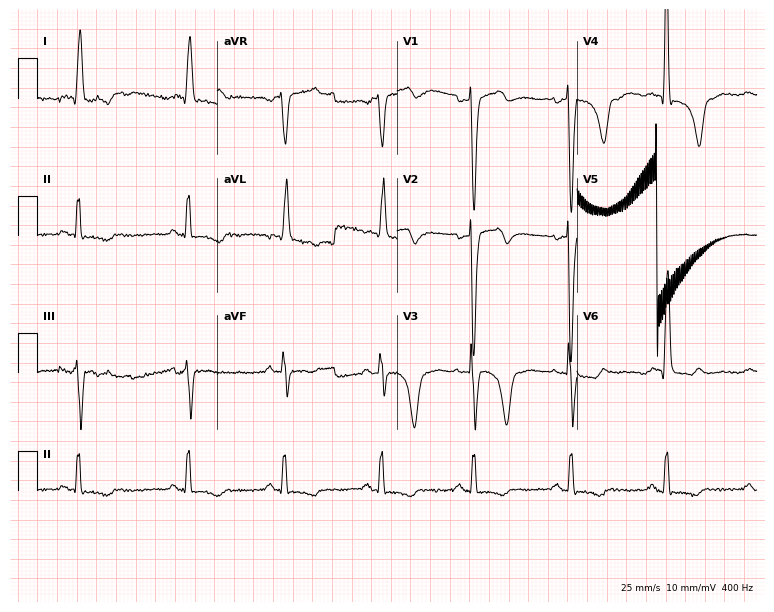
ECG (7.3-second recording at 400 Hz) — a 67-year-old man. Screened for six findings — first-degree AV block, right bundle branch block (RBBB), left bundle branch block (LBBB), sinus bradycardia, atrial fibrillation (AF), sinus tachycardia — none is recorded. Other findings, if any, are not listed.